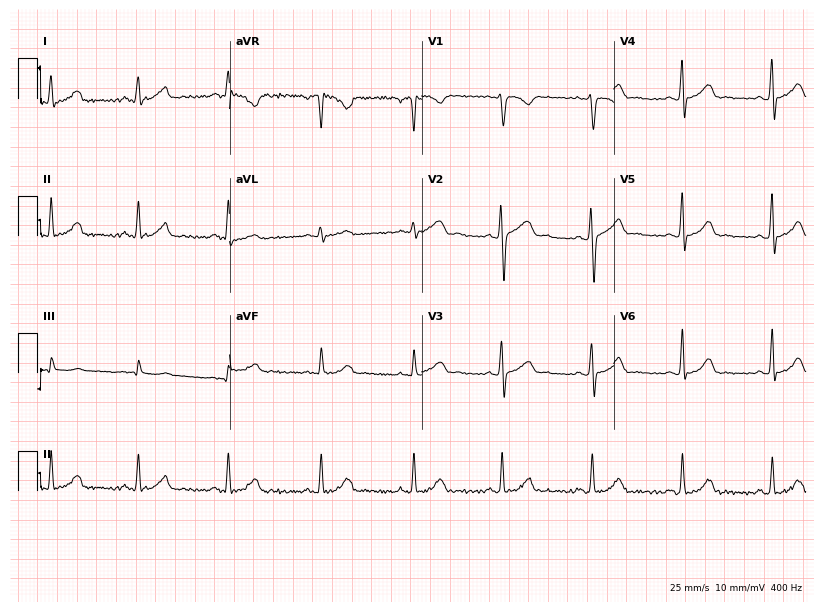
12-lead ECG (7.8-second recording at 400 Hz) from a female patient, 31 years old. Screened for six findings — first-degree AV block, right bundle branch block, left bundle branch block, sinus bradycardia, atrial fibrillation, sinus tachycardia — none is recorded.